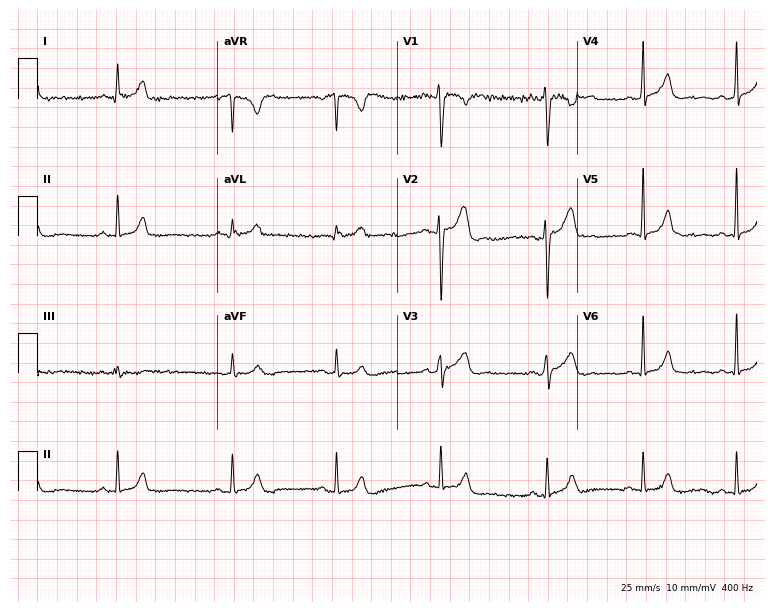
Electrocardiogram (7.3-second recording at 400 Hz), a 25-year-old male. Overall reading on record: normal ECG.